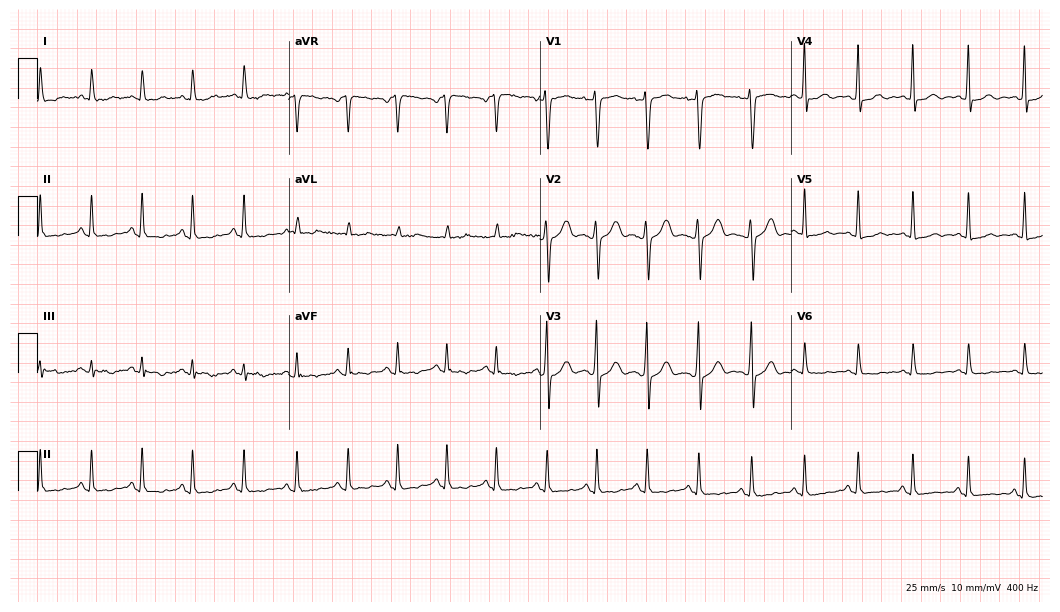
Electrocardiogram, a 19-year-old woman. Interpretation includes sinus tachycardia (a sinus rate of 100 beats per minute or more).